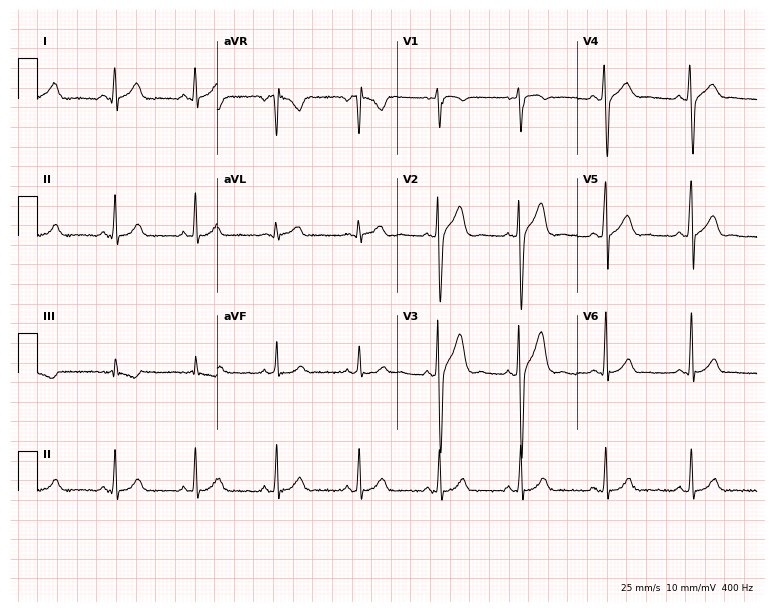
ECG — a 32-year-old male. Labelled as a normal ECG.